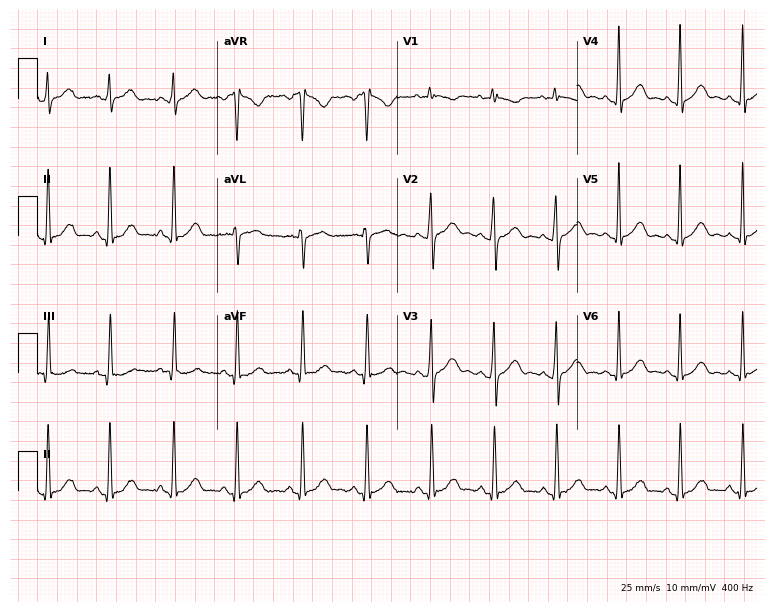
Standard 12-lead ECG recorded from a 19-year-old female patient. Read as a normal ECG.